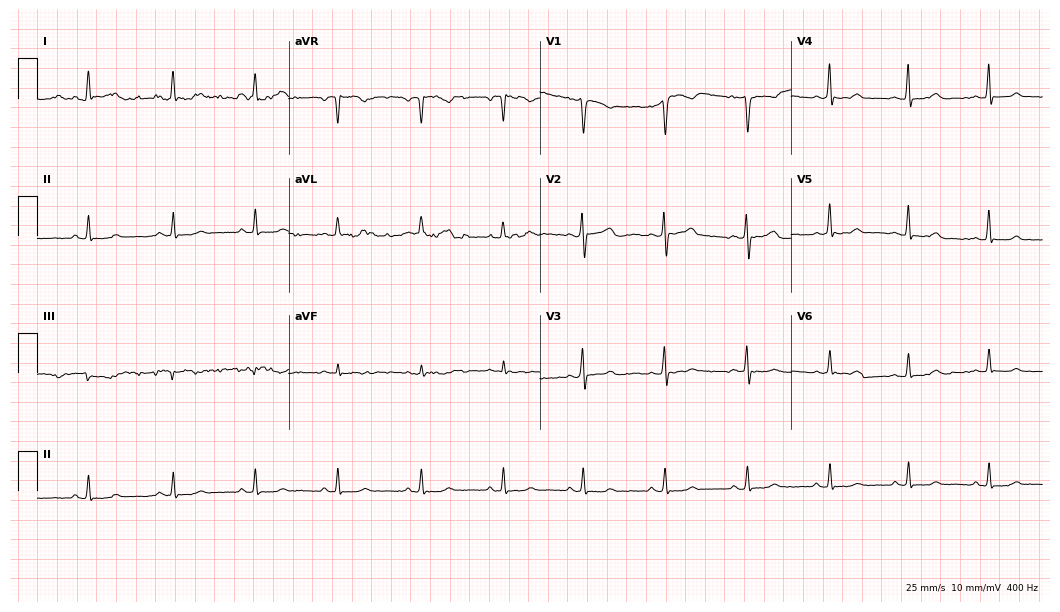
ECG (10.2-second recording at 400 Hz) — a 45-year-old female patient. Screened for six findings — first-degree AV block, right bundle branch block, left bundle branch block, sinus bradycardia, atrial fibrillation, sinus tachycardia — none is recorded. Findings outside these six are not listed.